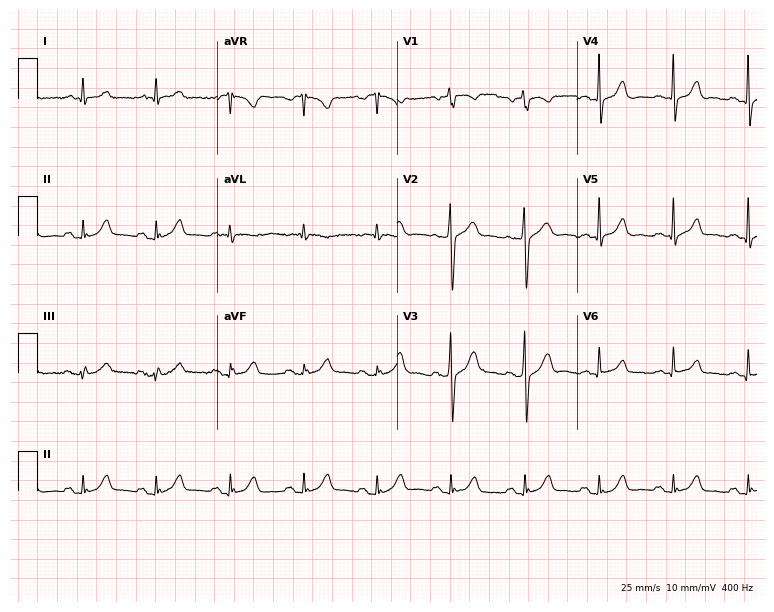
Standard 12-lead ECG recorded from a 64-year-old male (7.3-second recording at 400 Hz). Read as a normal ECG.